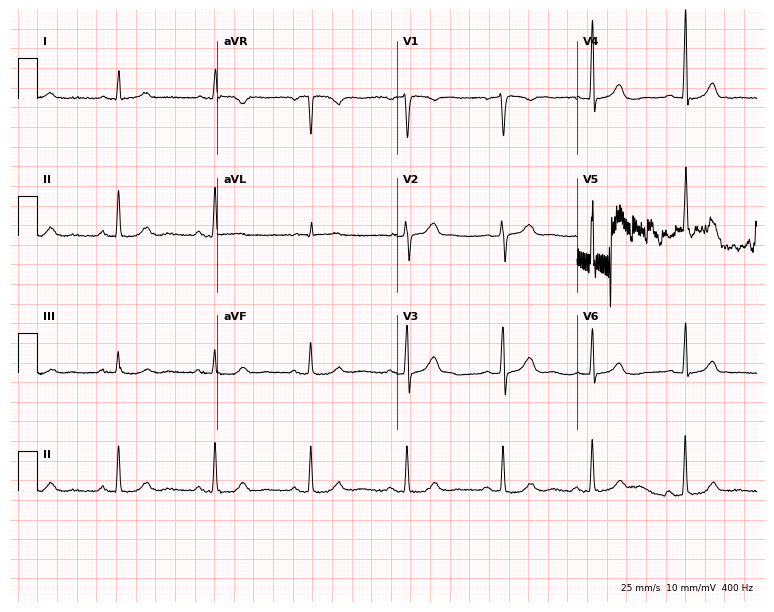
ECG — a 50-year-old woman. Screened for six findings — first-degree AV block, right bundle branch block, left bundle branch block, sinus bradycardia, atrial fibrillation, sinus tachycardia — none is recorded. Only these six findings were labelled.